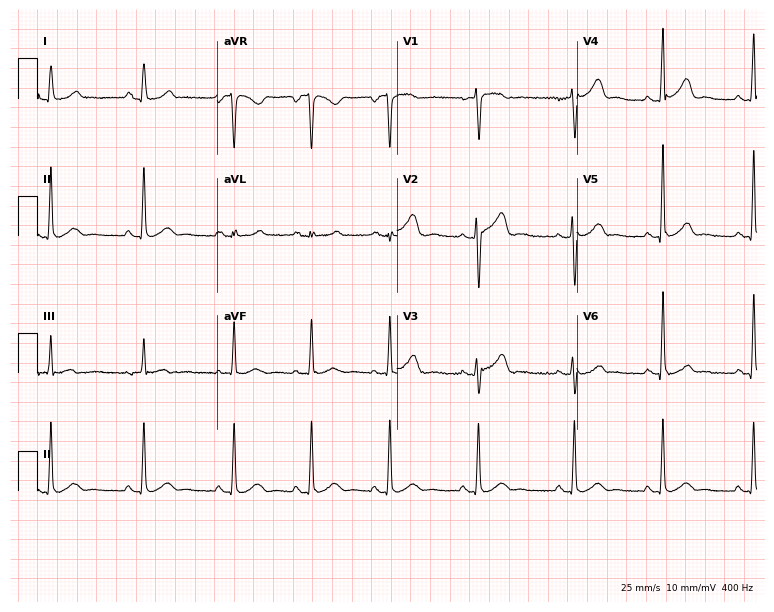
12-lead ECG (7.3-second recording at 400 Hz) from a 29-year-old woman. Screened for six findings — first-degree AV block, right bundle branch block (RBBB), left bundle branch block (LBBB), sinus bradycardia, atrial fibrillation (AF), sinus tachycardia — none is recorded.